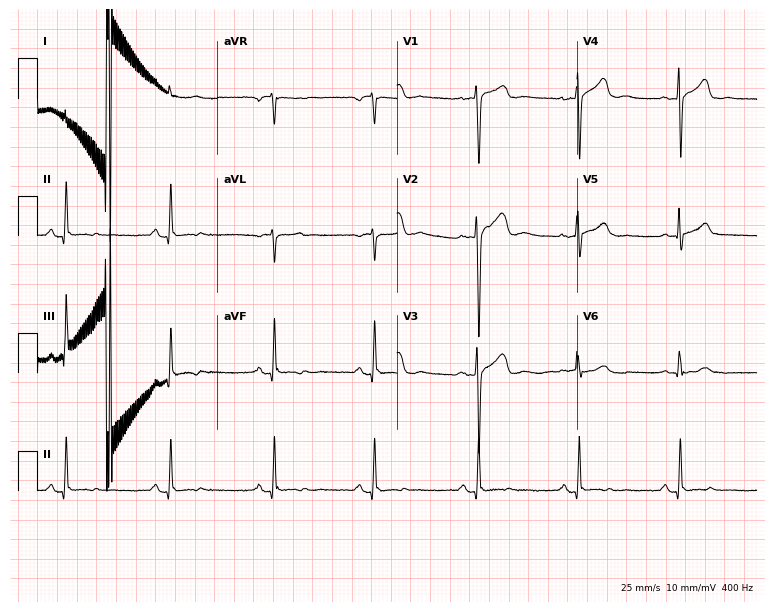
ECG (7.3-second recording at 400 Hz) — a man, 51 years old. Screened for six findings — first-degree AV block, right bundle branch block (RBBB), left bundle branch block (LBBB), sinus bradycardia, atrial fibrillation (AF), sinus tachycardia — none is recorded.